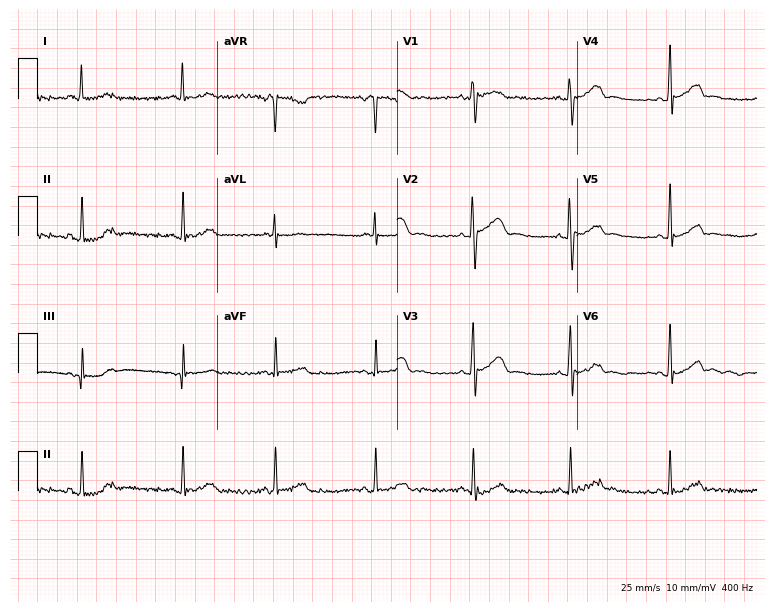
Resting 12-lead electrocardiogram (7.3-second recording at 400 Hz). Patient: a woman, 27 years old. None of these six findings is recorded: first-degree AV block, right bundle branch block, left bundle branch block, sinus bradycardia, atrial fibrillation, sinus tachycardia.